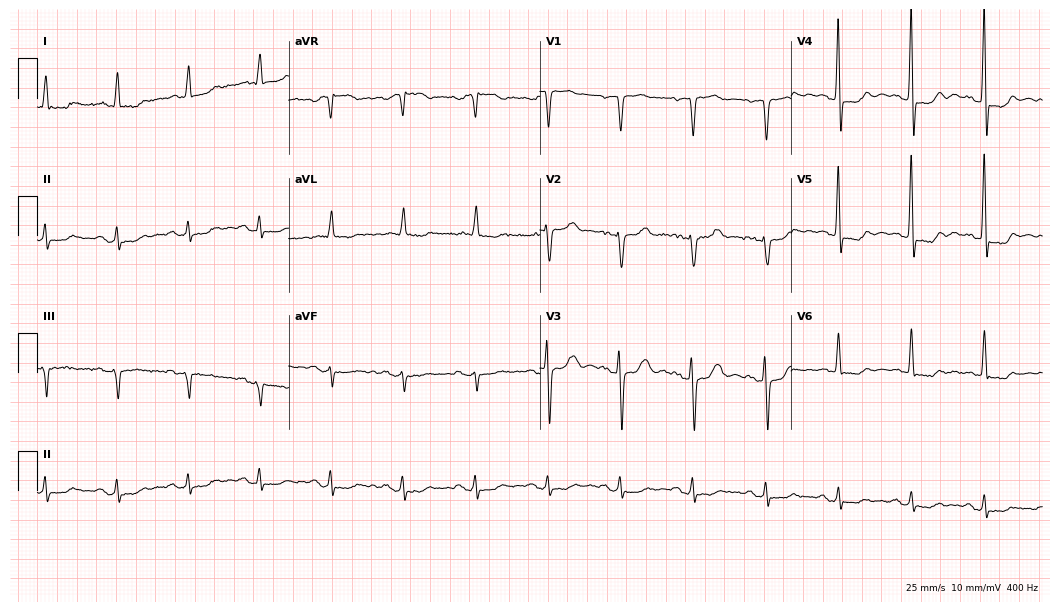
12-lead ECG from a 53-year-old male patient. Screened for six findings — first-degree AV block, right bundle branch block, left bundle branch block, sinus bradycardia, atrial fibrillation, sinus tachycardia — none is recorded.